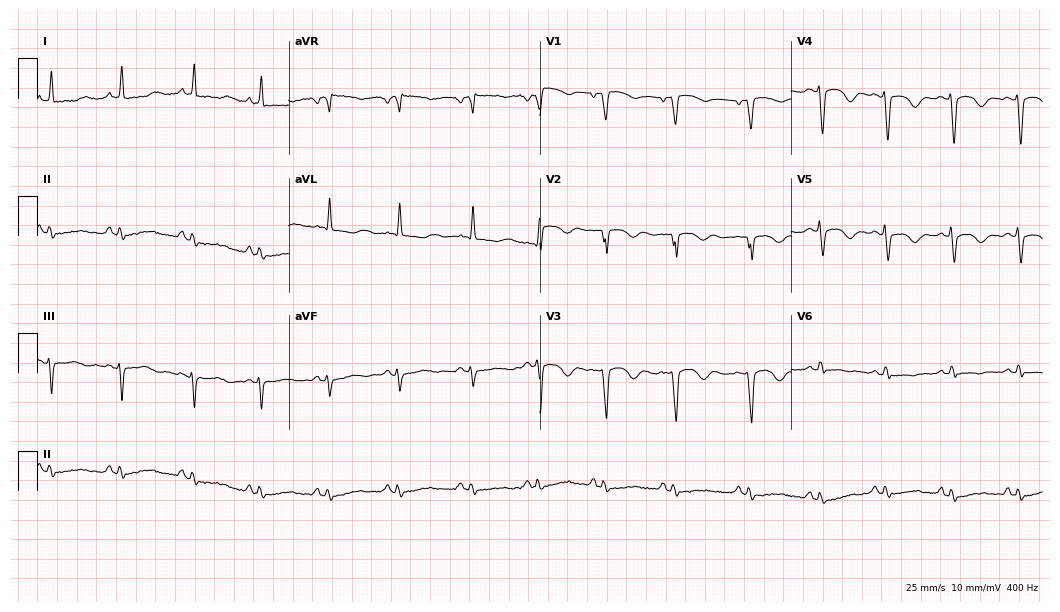
Resting 12-lead electrocardiogram (10.2-second recording at 400 Hz). Patient: a 50-year-old female. None of these six findings is recorded: first-degree AV block, right bundle branch block, left bundle branch block, sinus bradycardia, atrial fibrillation, sinus tachycardia. Findings outside these six are not listed.